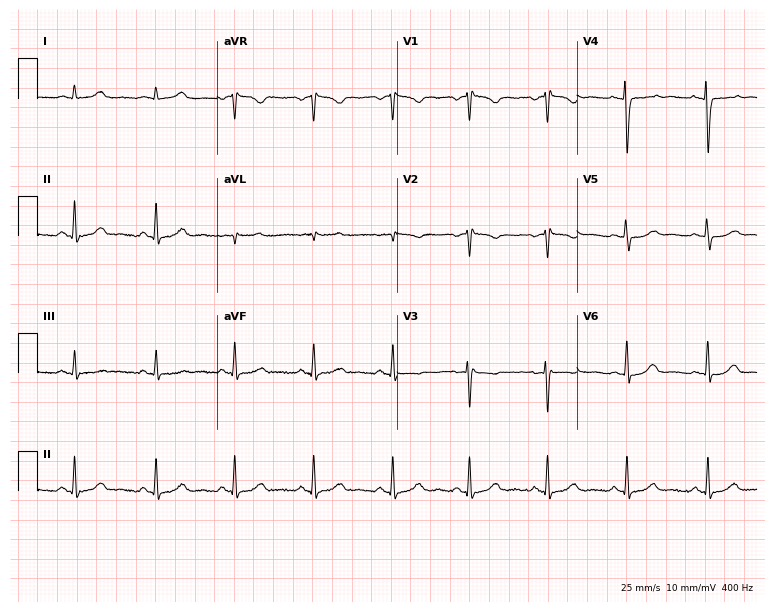
12-lead ECG from a female, 45 years old. No first-degree AV block, right bundle branch block, left bundle branch block, sinus bradycardia, atrial fibrillation or sinus tachycardia recorded for this tracing. Findings outside these six are not listed.